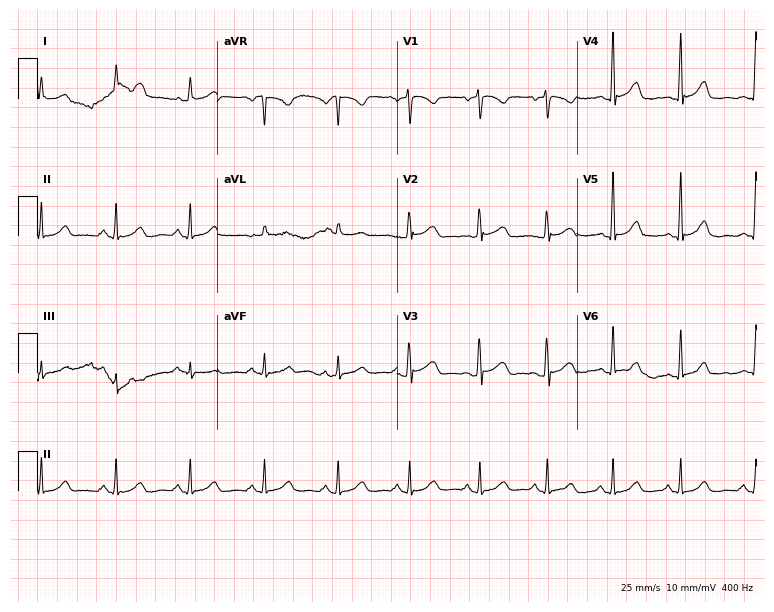
12-lead ECG from a woman, 49 years old (7.3-second recording at 400 Hz). Recorded interpretation: within normal limits.